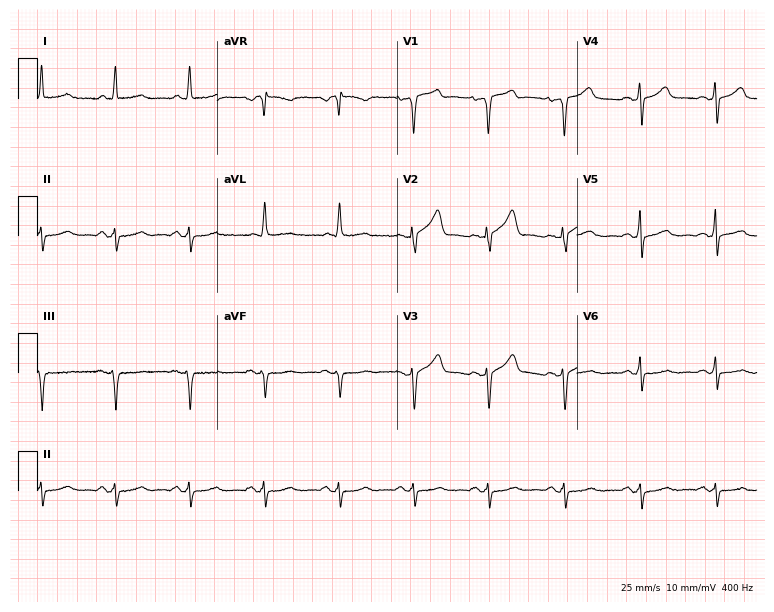
12-lead ECG from a man, 71 years old. Screened for six findings — first-degree AV block, right bundle branch block, left bundle branch block, sinus bradycardia, atrial fibrillation, sinus tachycardia — none is recorded. Other findings, if any, are not listed.